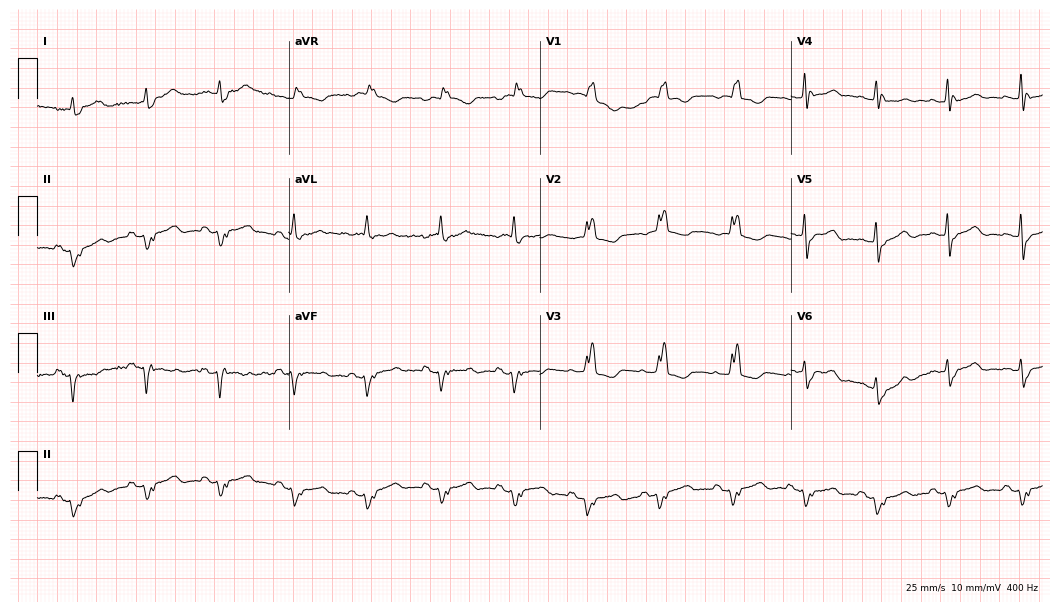
12-lead ECG from a woman, 82 years old (10.2-second recording at 400 Hz). Shows right bundle branch block (RBBB).